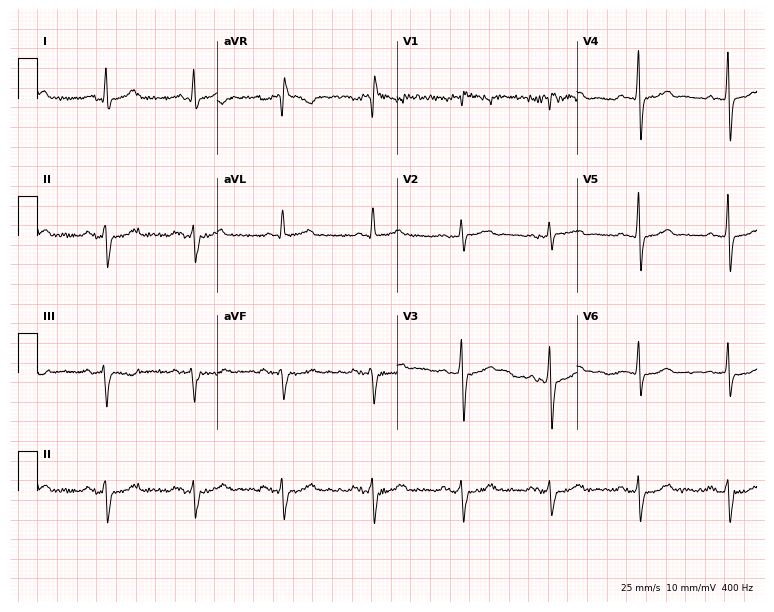
Electrocardiogram, a male, 58 years old. Of the six screened findings (first-degree AV block, right bundle branch block, left bundle branch block, sinus bradycardia, atrial fibrillation, sinus tachycardia), none is recorded.